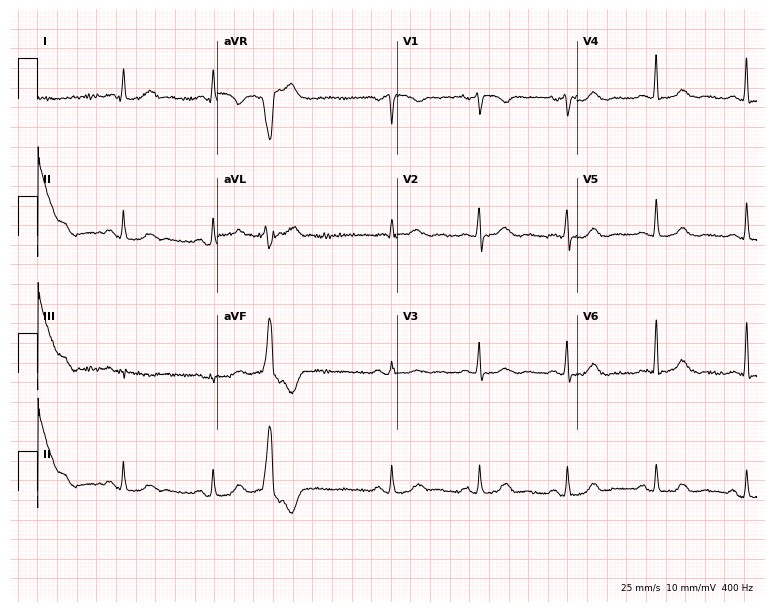
Electrocardiogram (7.3-second recording at 400 Hz), a 62-year-old female. Of the six screened findings (first-degree AV block, right bundle branch block (RBBB), left bundle branch block (LBBB), sinus bradycardia, atrial fibrillation (AF), sinus tachycardia), none is recorded.